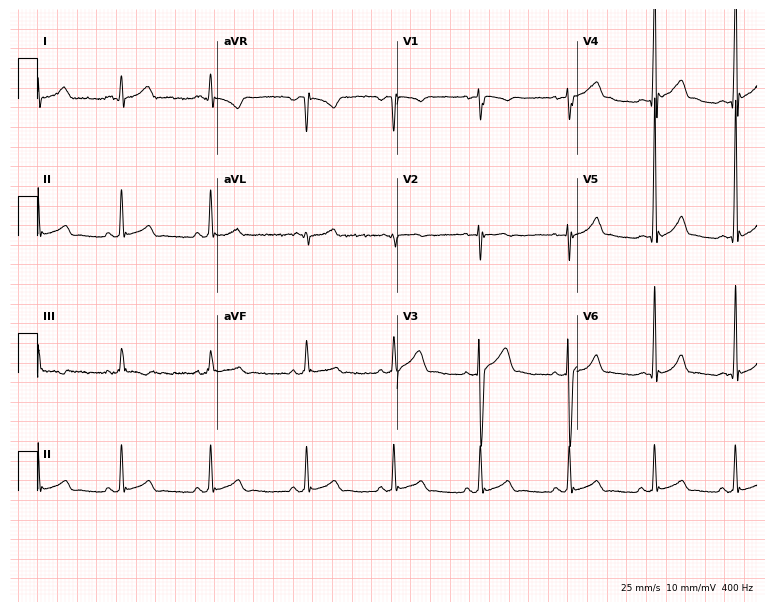
Electrocardiogram, a male, 18 years old. Overall reading on record: normal ECG.